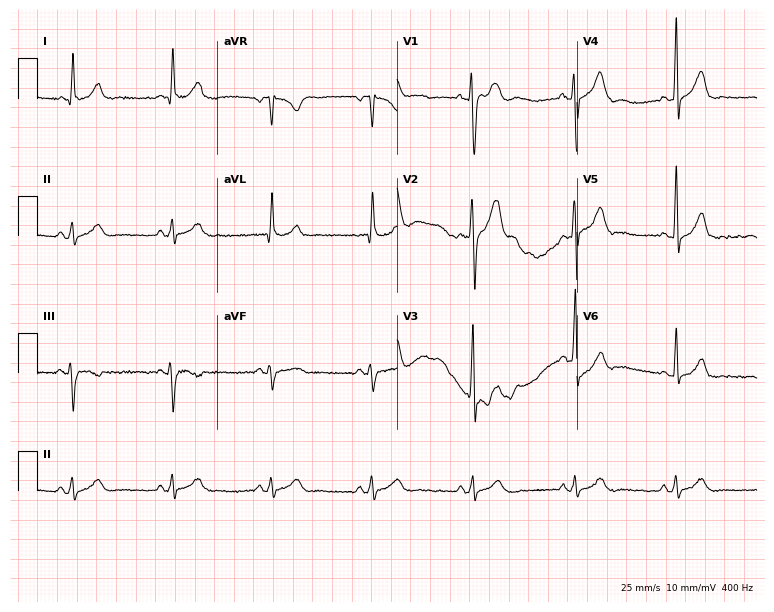
ECG — a male patient, 33 years old. Screened for six findings — first-degree AV block, right bundle branch block, left bundle branch block, sinus bradycardia, atrial fibrillation, sinus tachycardia — none is recorded. Other findings, if any, are not listed.